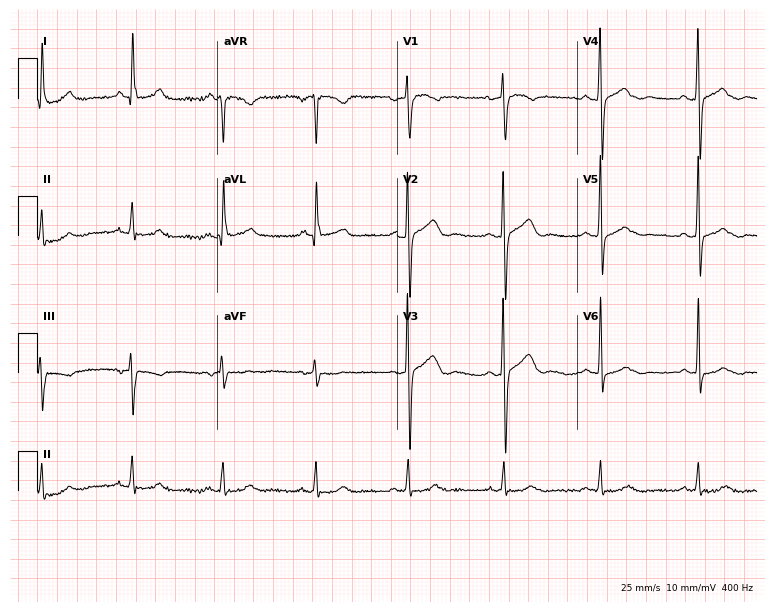
Electrocardiogram (7.3-second recording at 400 Hz), a female, 61 years old. Overall reading on record: normal ECG.